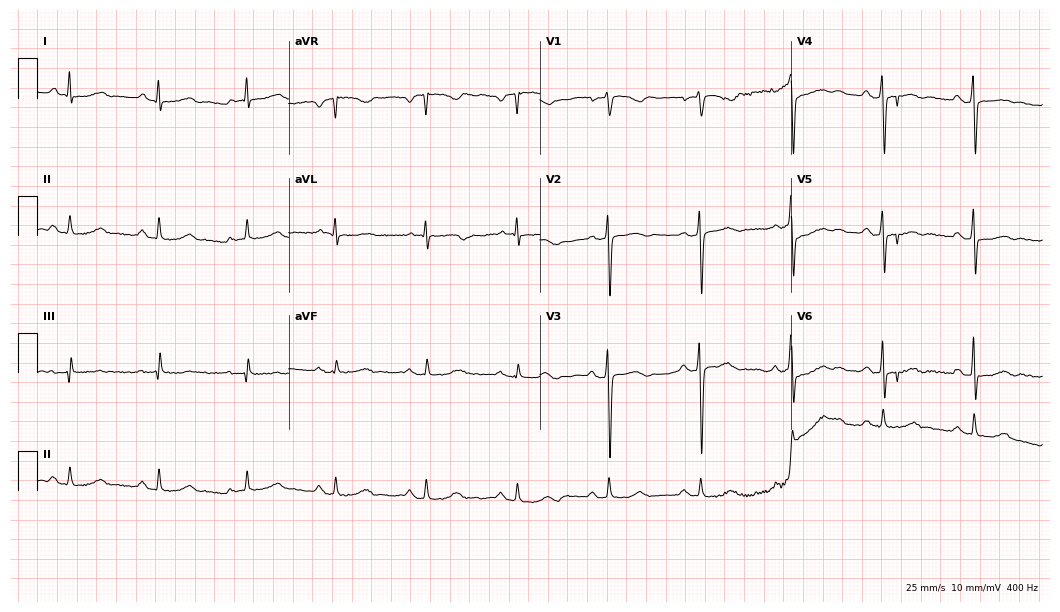
Resting 12-lead electrocardiogram. Patient: a 75-year-old male. None of these six findings is recorded: first-degree AV block, right bundle branch block, left bundle branch block, sinus bradycardia, atrial fibrillation, sinus tachycardia. Findings outside these six are not listed.